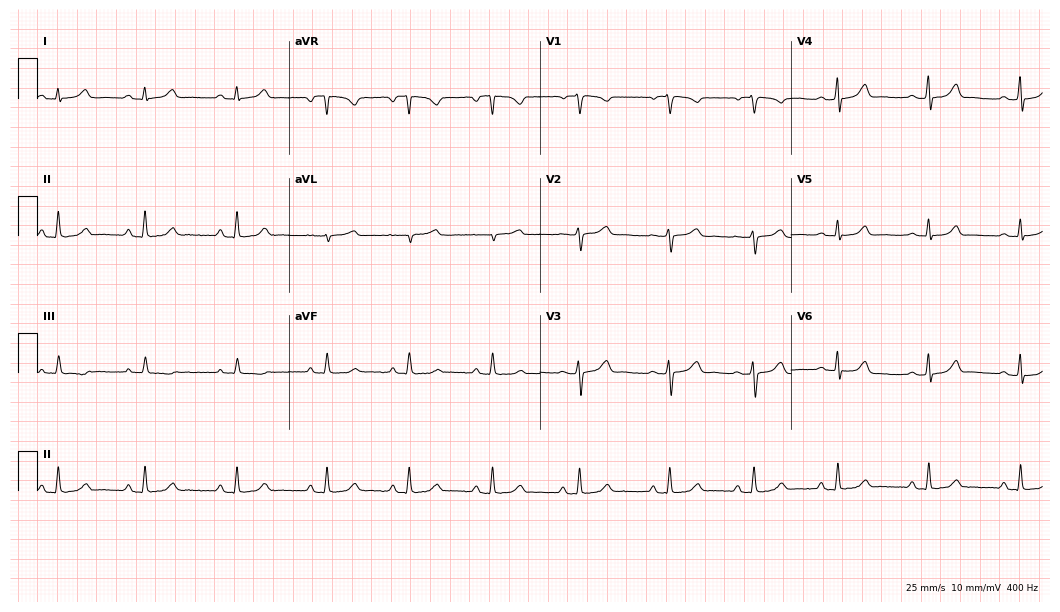
Electrocardiogram (10.2-second recording at 400 Hz), a female, 26 years old. Overall reading on record: normal ECG.